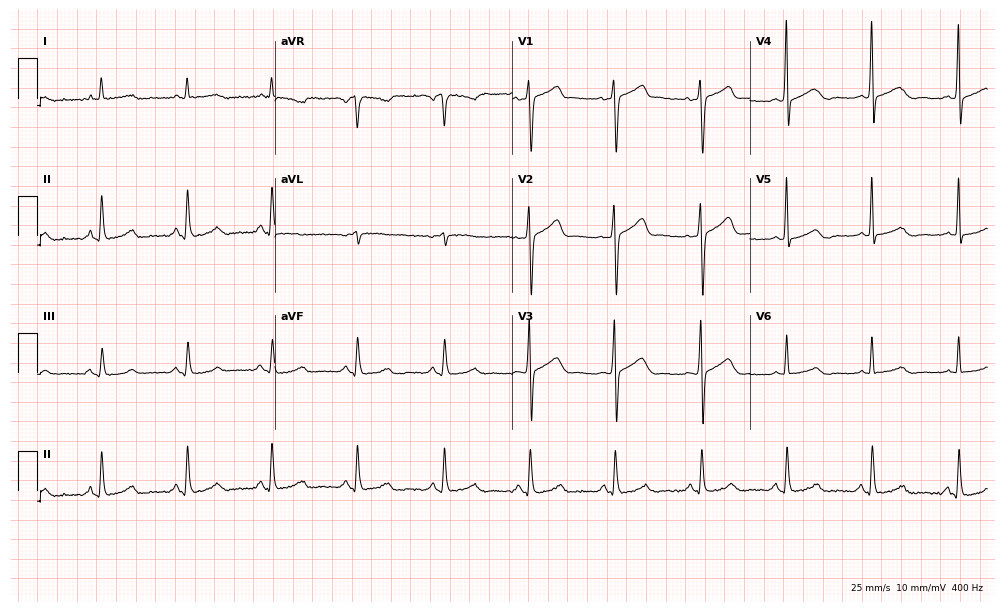
Resting 12-lead electrocardiogram. Patient: a 74-year-old man. Read as a normal ECG.